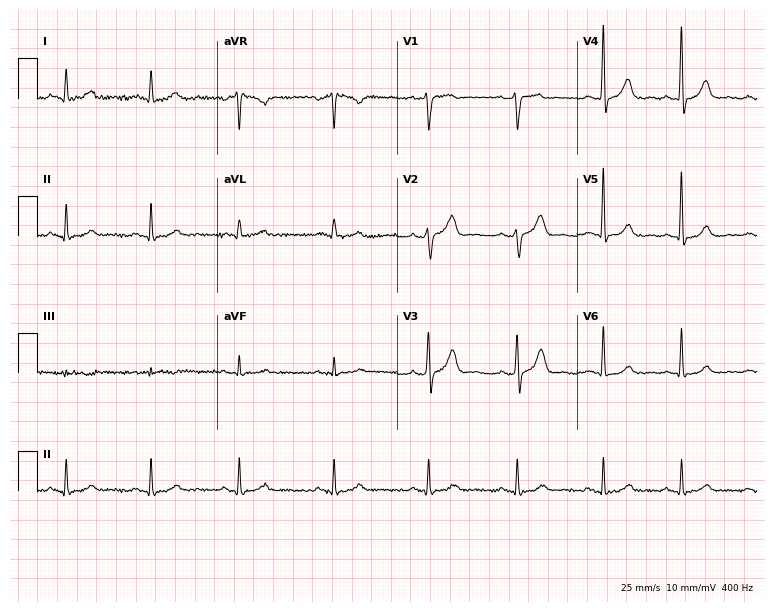
Electrocardiogram (7.3-second recording at 400 Hz), a male patient, 45 years old. Overall reading on record: normal ECG.